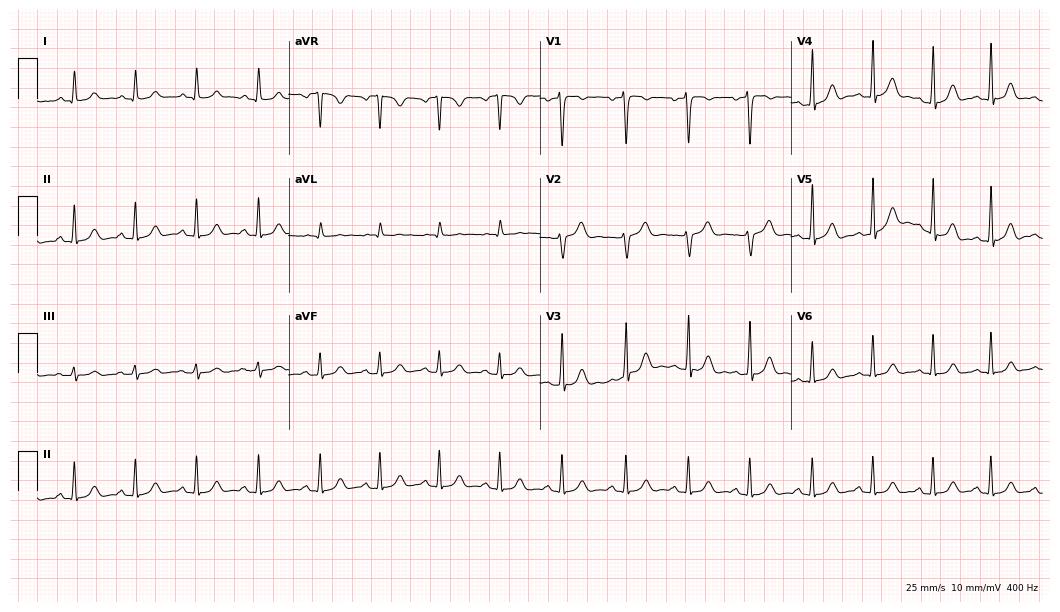
Resting 12-lead electrocardiogram. Patient: a 30-year-old female. None of these six findings is recorded: first-degree AV block, right bundle branch block, left bundle branch block, sinus bradycardia, atrial fibrillation, sinus tachycardia. Findings outside these six are not listed.